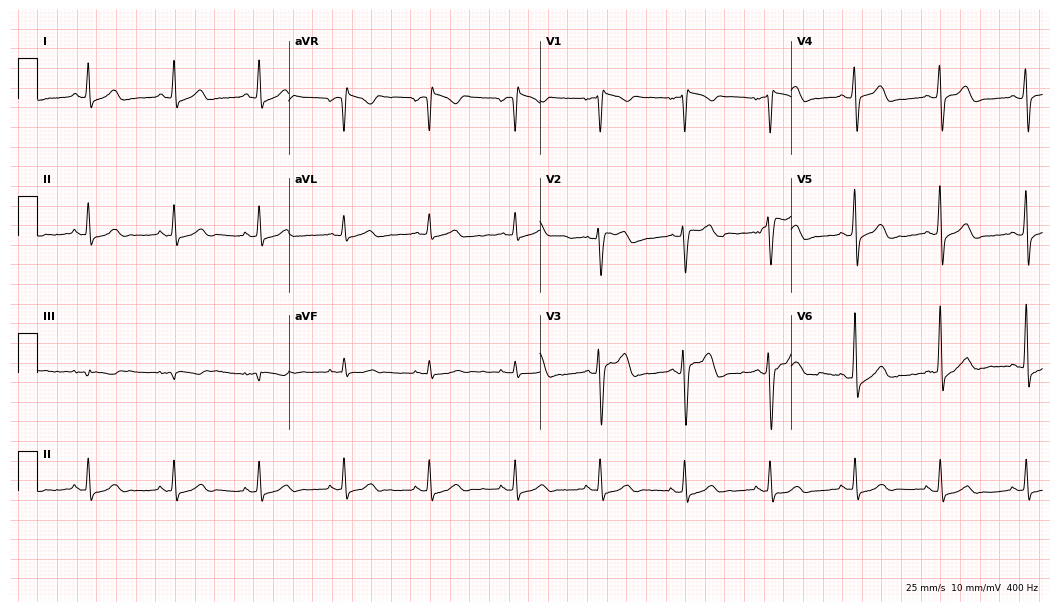
ECG (10.2-second recording at 400 Hz) — a male patient, 52 years old. Screened for six findings — first-degree AV block, right bundle branch block, left bundle branch block, sinus bradycardia, atrial fibrillation, sinus tachycardia — none is recorded.